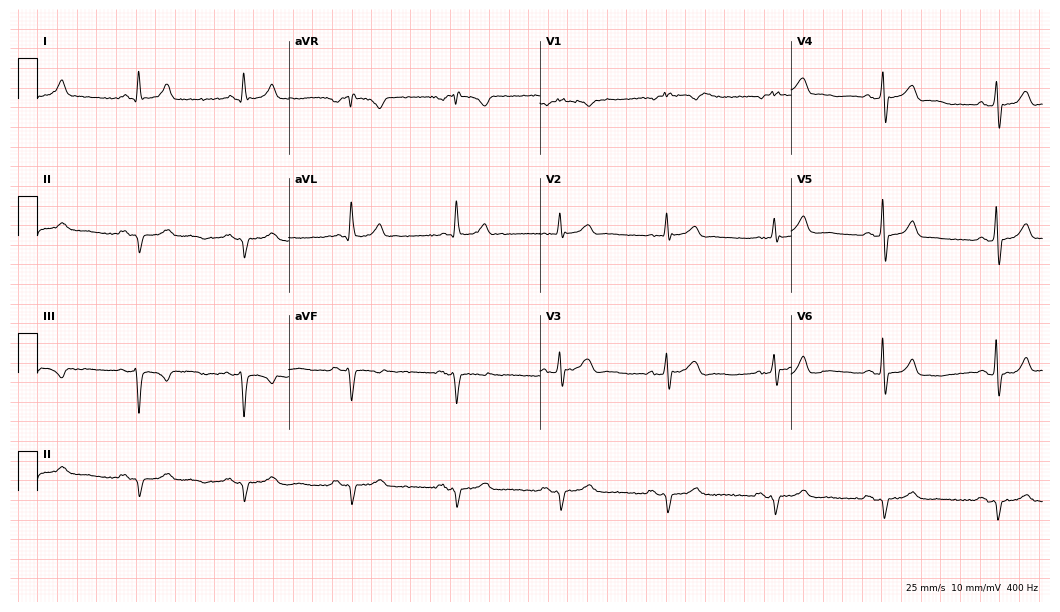
ECG — a man, 78 years old. Screened for six findings — first-degree AV block, right bundle branch block (RBBB), left bundle branch block (LBBB), sinus bradycardia, atrial fibrillation (AF), sinus tachycardia — none is recorded.